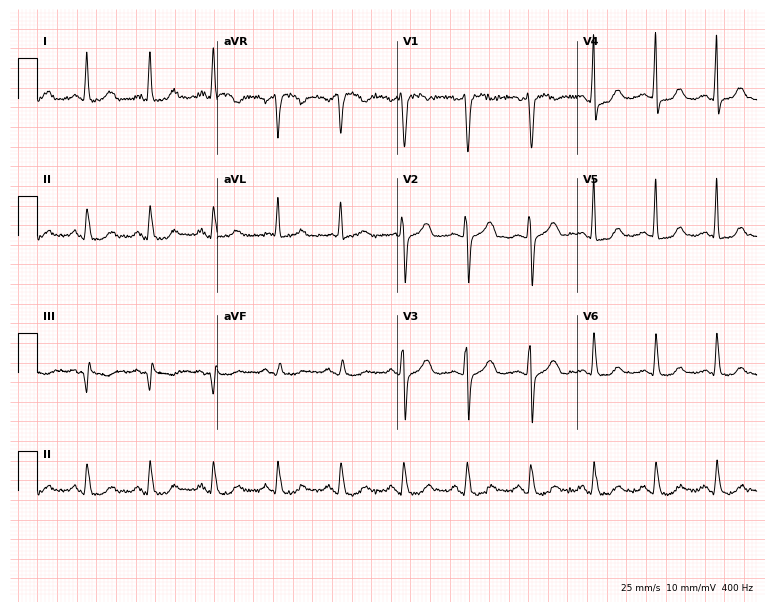
Standard 12-lead ECG recorded from a woman, 52 years old. None of these six findings is recorded: first-degree AV block, right bundle branch block, left bundle branch block, sinus bradycardia, atrial fibrillation, sinus tachycardia. Other findings, if any, are not listed.